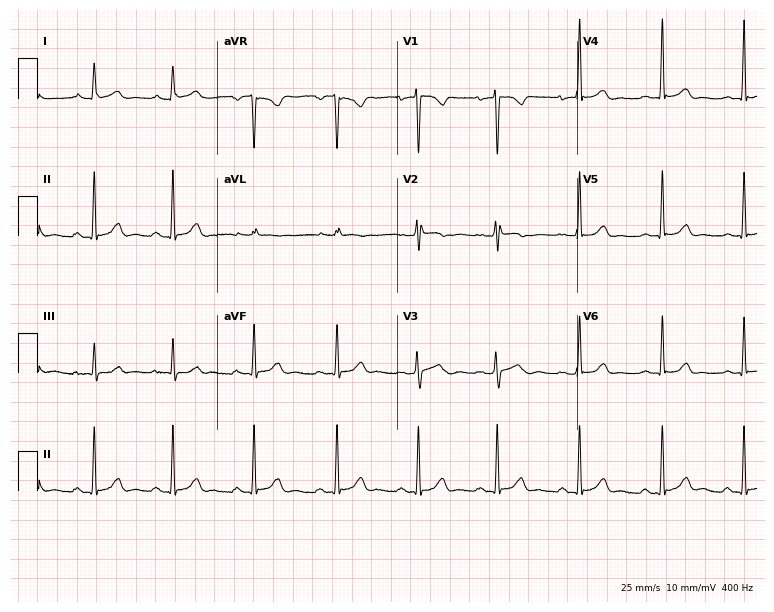
Standard 12-lead ECG recorded from a 23-year-old female patient. Read as a normal ECG.